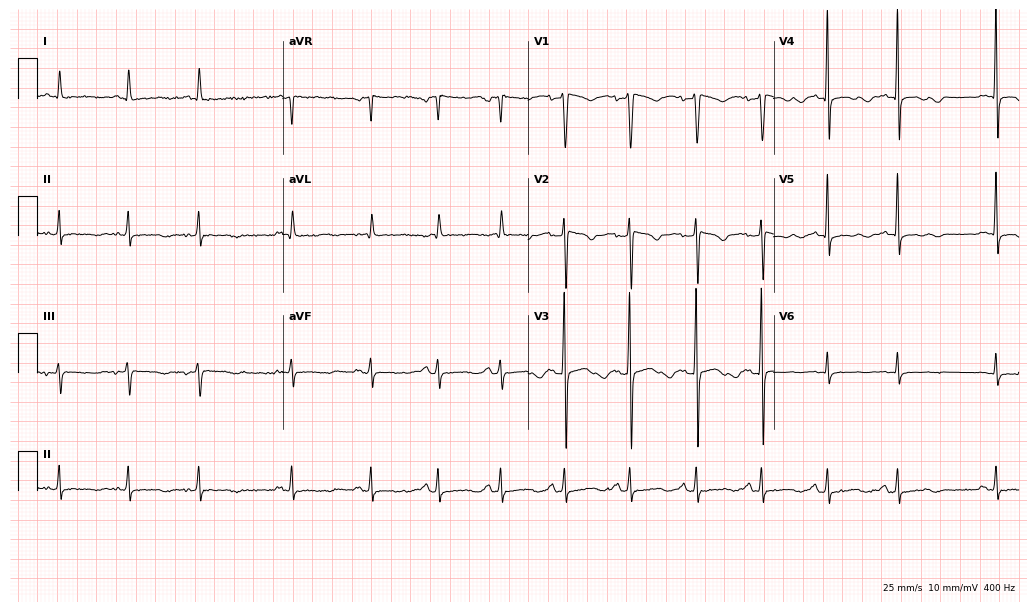
Standard 12-lead ECG recorded from a female patient, 42 years old. None of these six findings is recorded: first-degree AV block, right bundle branch block, left bundle branch block, sinus bradycardia, atrial fibrillation, sinus tachycardia. Other findings, if any, are not listed.